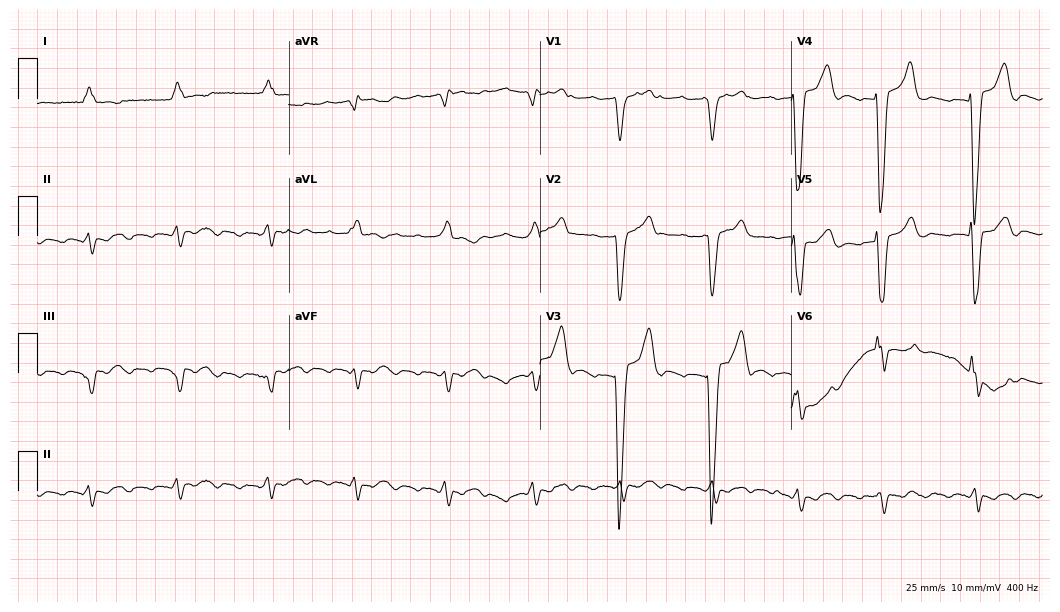
ECG — a man, 76 years old. Findings include first-degree AV block, left bundle branch block, atrial fibrillation.